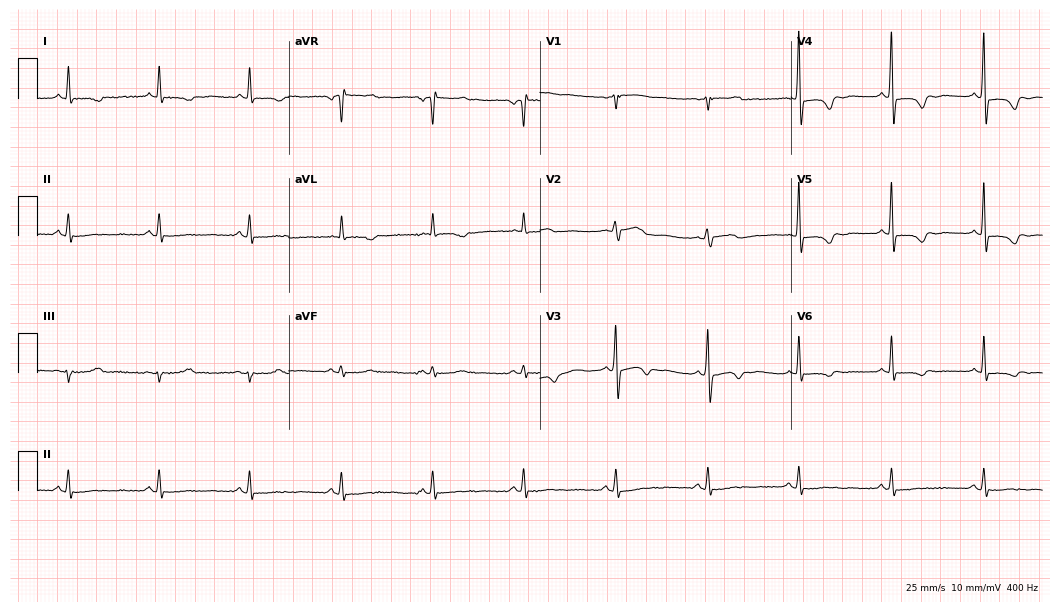
ECG (10.2-second recording at 400 Hz) — a 76-year-old woman. Labelled as a normal ECG.